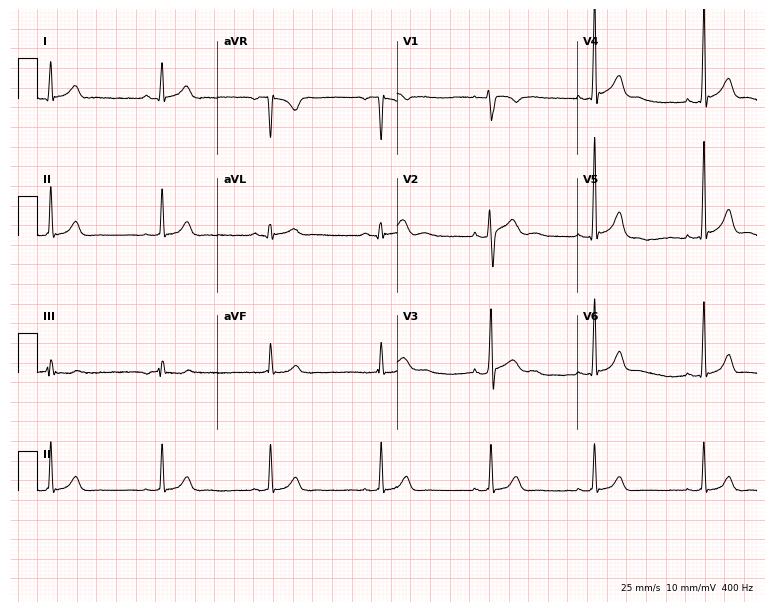
Electrocardiogram, a 24-year-old male patient. Overall reading on record: normal ECG.